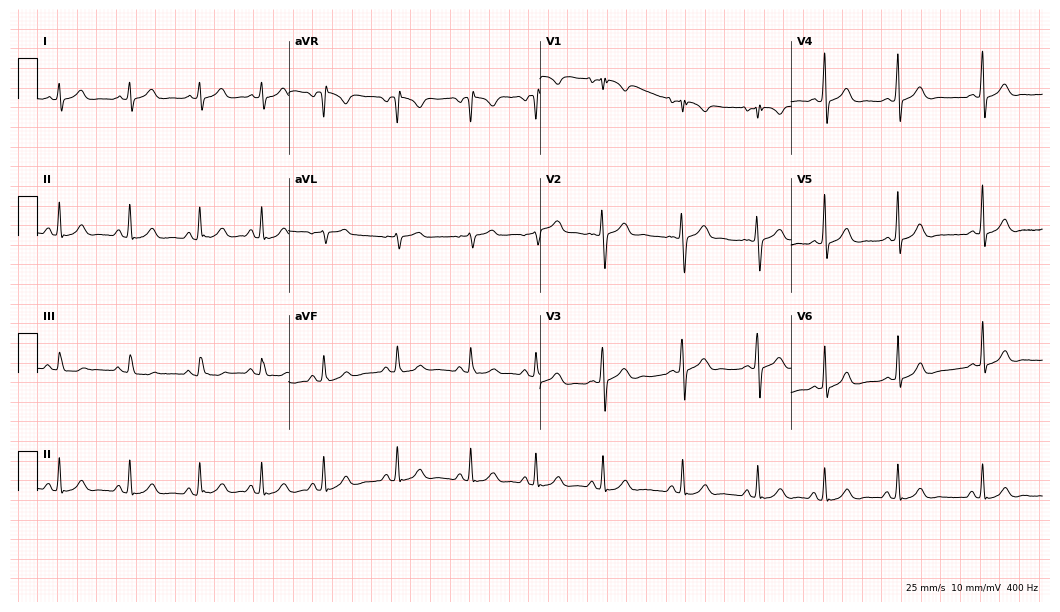
ECG (10.2-second recording at 400 Hz) — a 19-year-old woman. Labelled as a normal ECG.